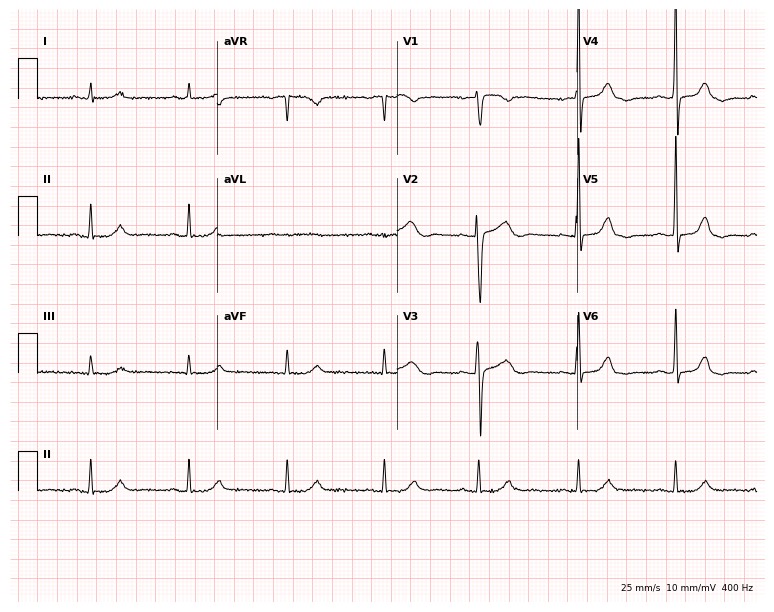
ECG — a 73-year-old female patient. Labelled as a normal ECG.